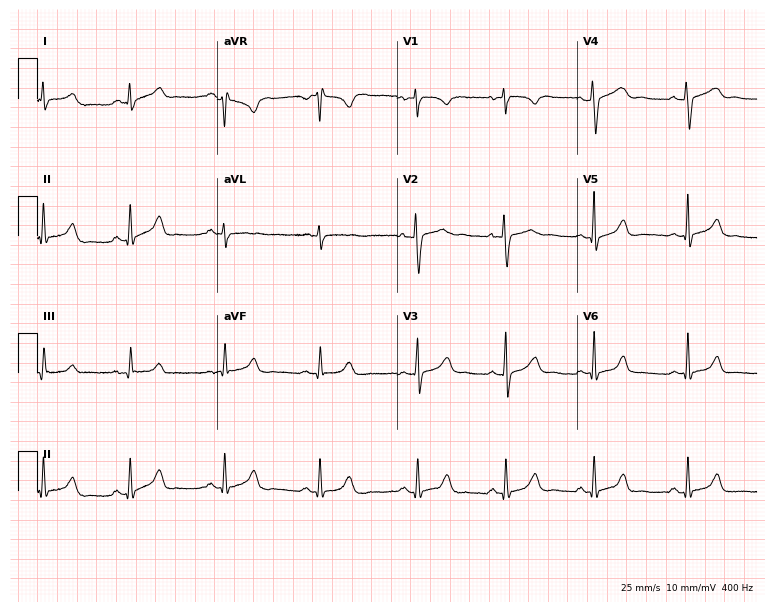
12-lead ECG from a 28-year-old female (7.3-second recording at 400 Hz). Recorded interpretation: within normal limits.